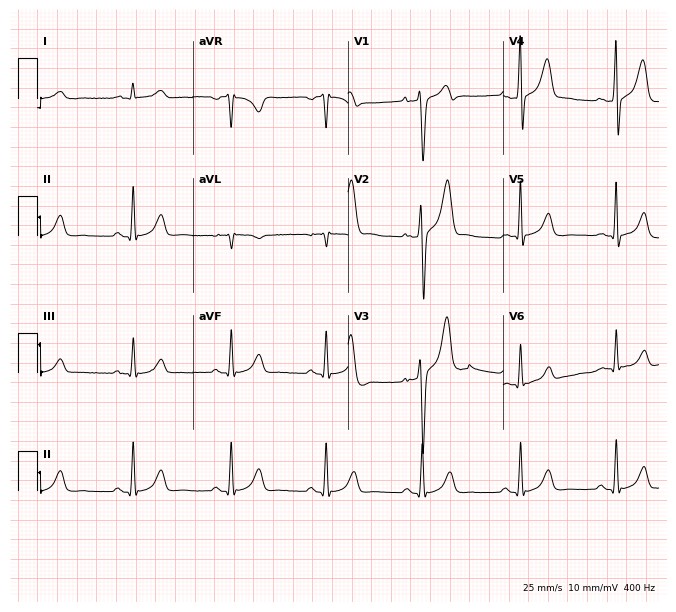
ECG — a male patient, 42 years old. Screened for six findings — first-degree AV block, right bundle branch block, left bundle branch block, sinus bradycardia, atrial fibrillation, sinus tachycardia — none is recorded.